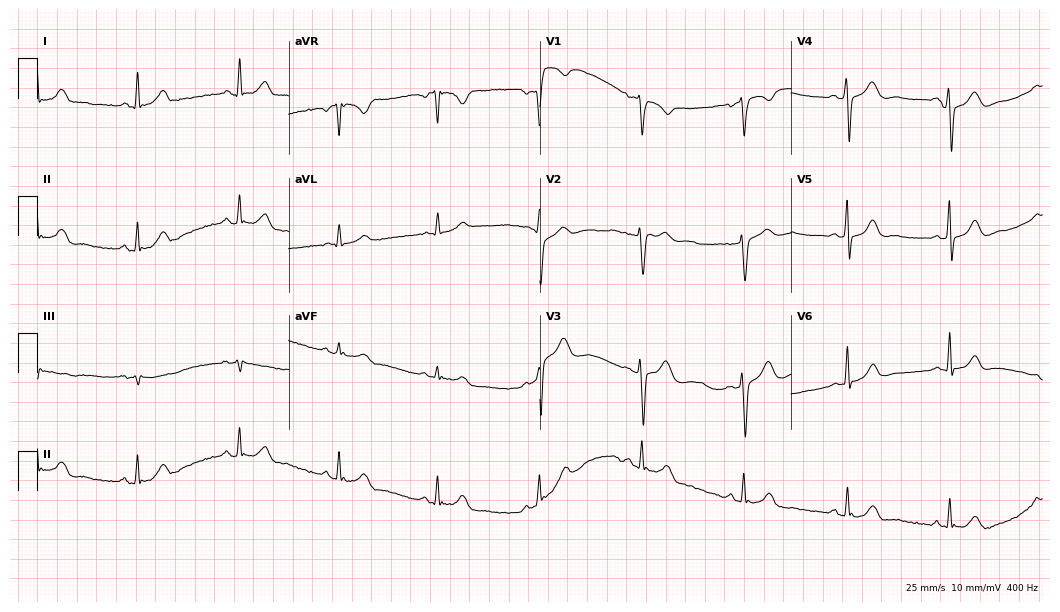
12-lead ECG from a 35-year-old female. Recorded interpretation: within normal limits.